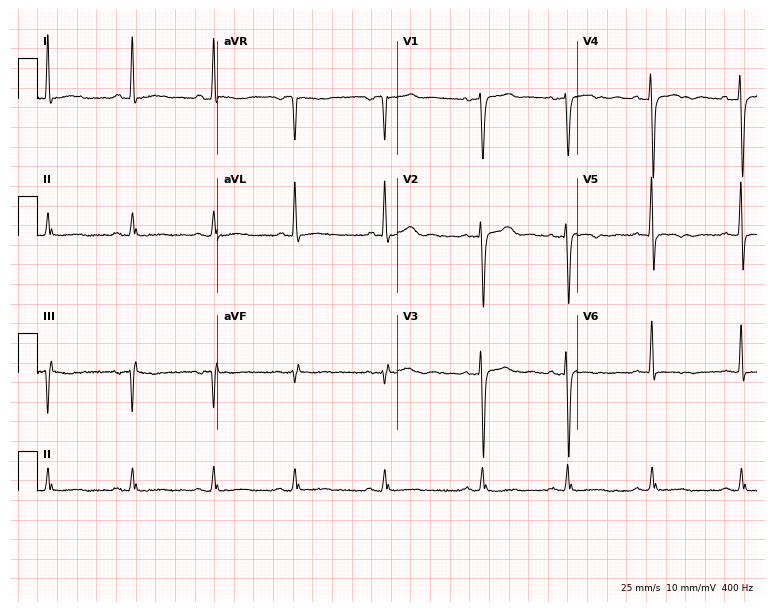
Standard 12-lead ECG recorded from a 57-year-old female. None of these six findings is recorded: first-degree AV block, right bundle branch block (RBBB), left bundle branch block (LBBB), sinus bradycardia, atrial fibrillation (AF), sinus tachycardia.